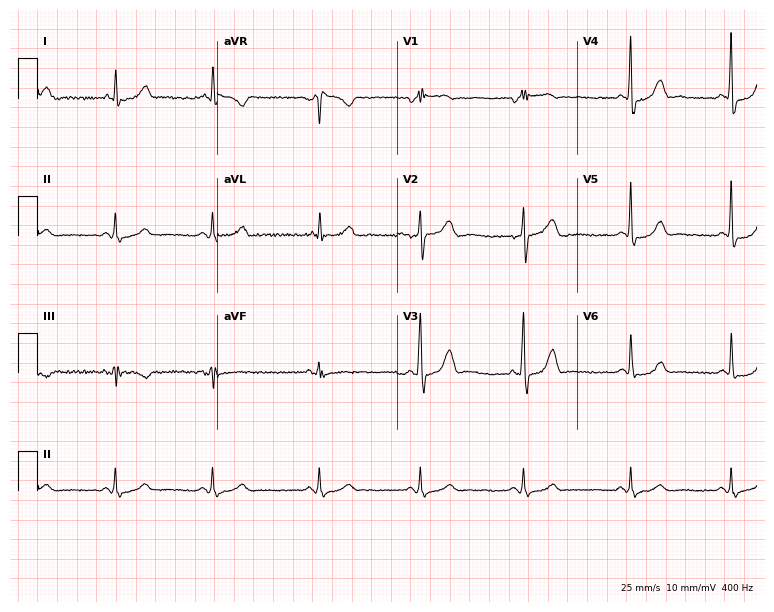
ECG (7.3-second recording at 400 Hz) — a man, 36 years old. Screened for six findings — first-degree AV block, right bundle branch block, left bundle branch block, sinus bradycardia, atrial fibrillation, sinus tachycardia — none is recorded.